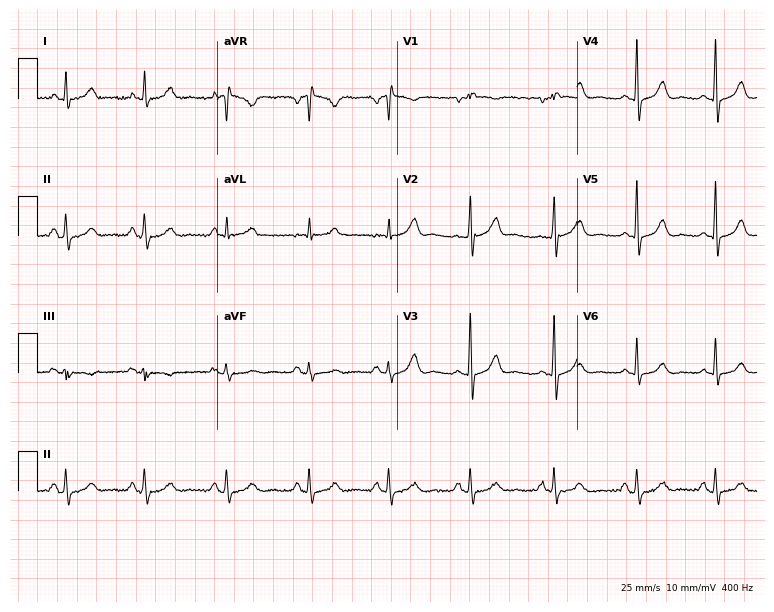
Electrocardiogram, a woman, 51 years old. Of the six screened findings (first-degree AV block, right bundle branch block (RBBB), left bundle branch block (LBBB), sinus bradycardia, atrial fibrillation (AF), sinus tachycardia), none is recorded.